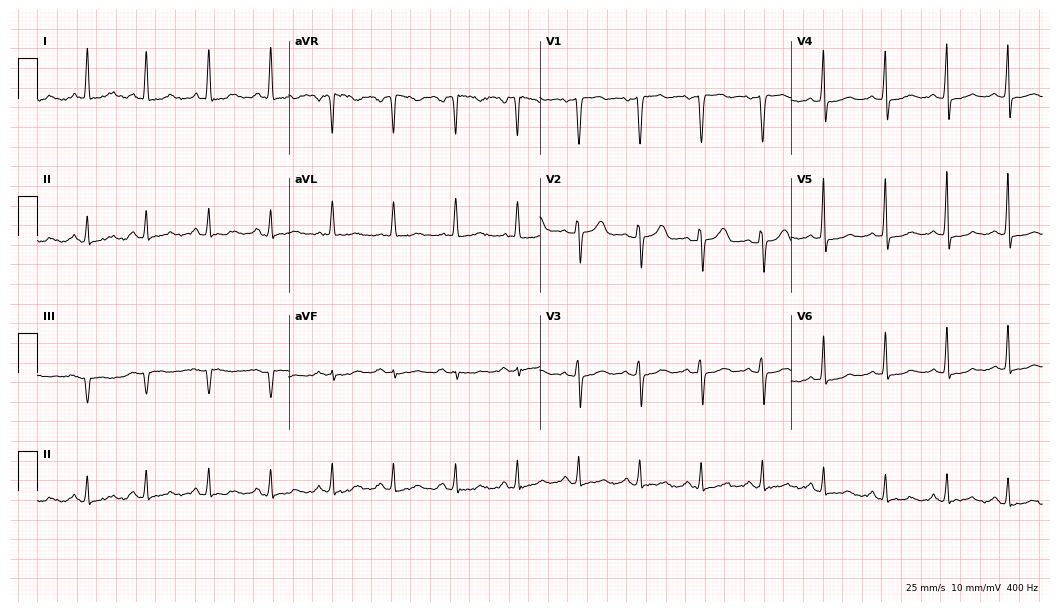
Resting 12-lead electrocardiogram (10.2-second recording at 400 Hz). Patient: a female, 66 years old. Read as a normal ECG.